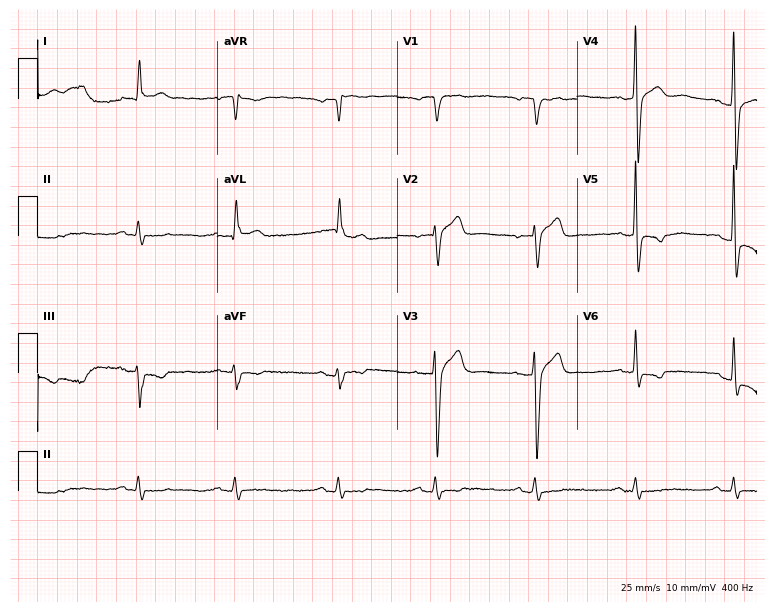
Resting 12-lead electrocardiogram. Patient: a man, 87 years old. None of these six findings is recorded: first-degree AV block, right bundle branch block, left bundle branch block, sinus bradycardia, atrial fibrillation, sinus tachycardia.